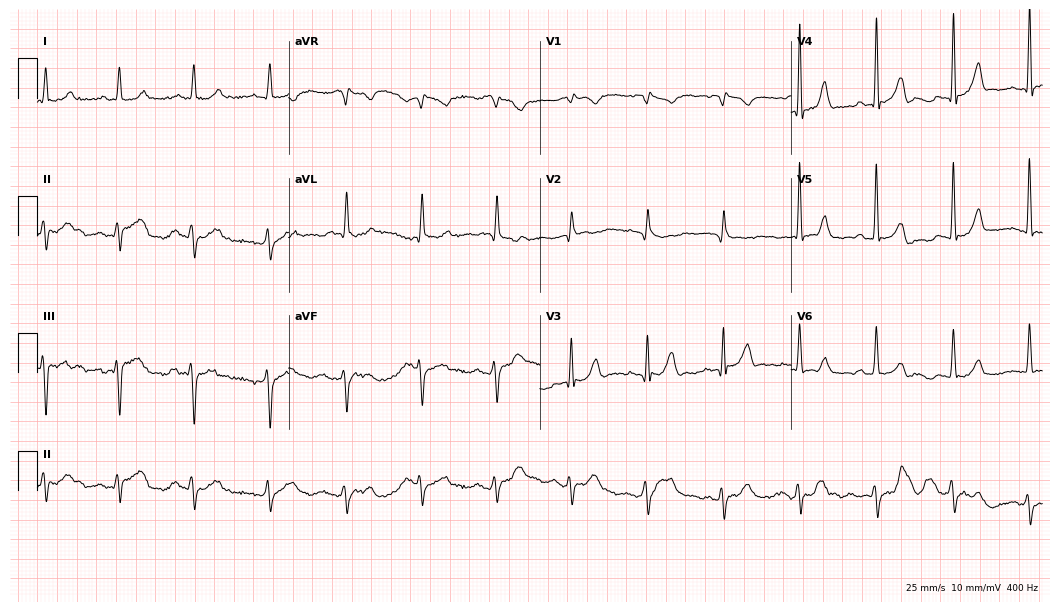
Resting 12-lead electrocardiogram (10.2-second recording at 400 Hz). Patient: a male, 80 years old. Read as a normal ECG.